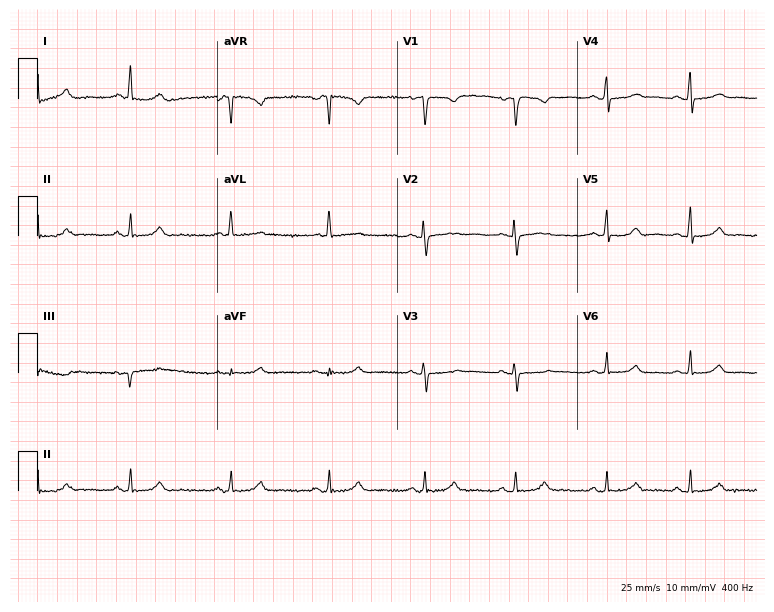
Resting 12-lead electrocardiogram. Patient: a woman, 52 years old. None of these six findings is recorded: first-degree AV block, right bundle branch block, left bundle branch block, sinus bradycardia, atrial fibrillation, sinus tachycardia.